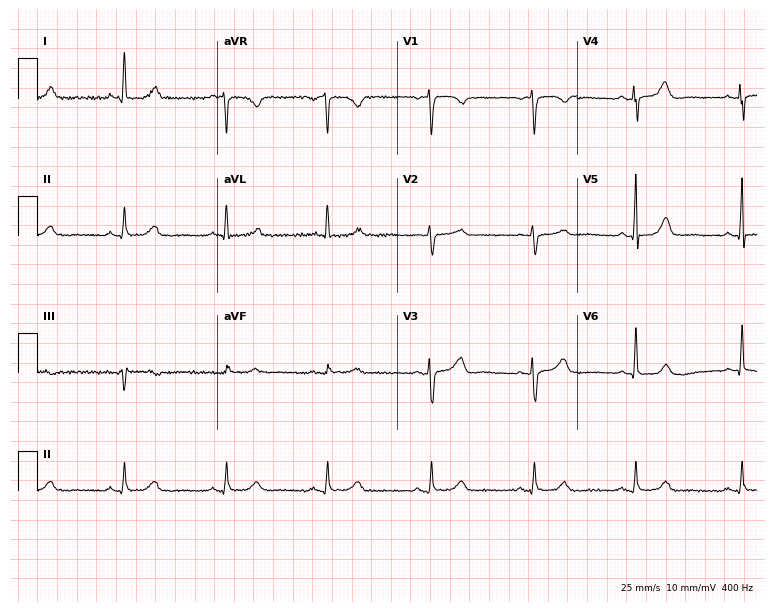
Standard 12-lead ECG recorded from a woman, 59 years old (7.3-second recording at 400 Hz). None of these six findings is recorded: first-degree AV block, right bundle branch block, left bundle branch block, sinus bradycardia, atrial fibrillation, sinus tachycardia.